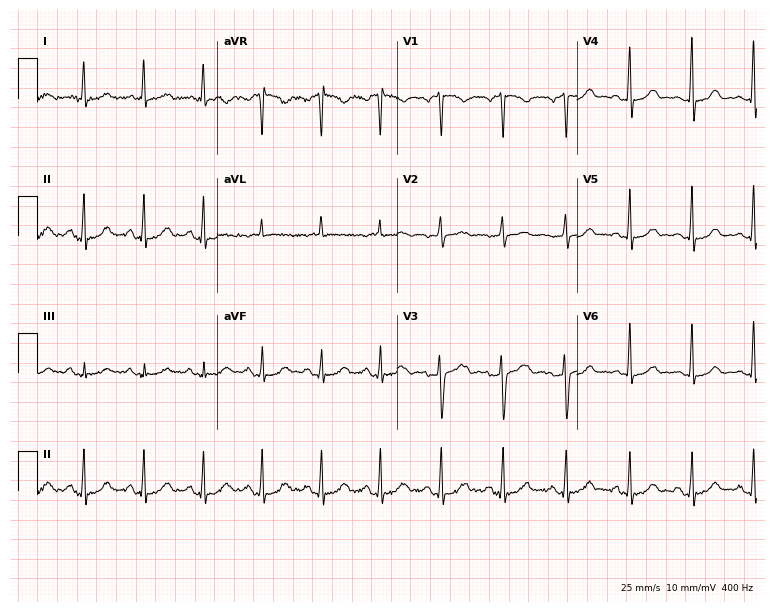
Electrocardiogram (7.3-second recording at 400 Hz), a 44-year-old female patient. Overall reading on record: normal ECG.